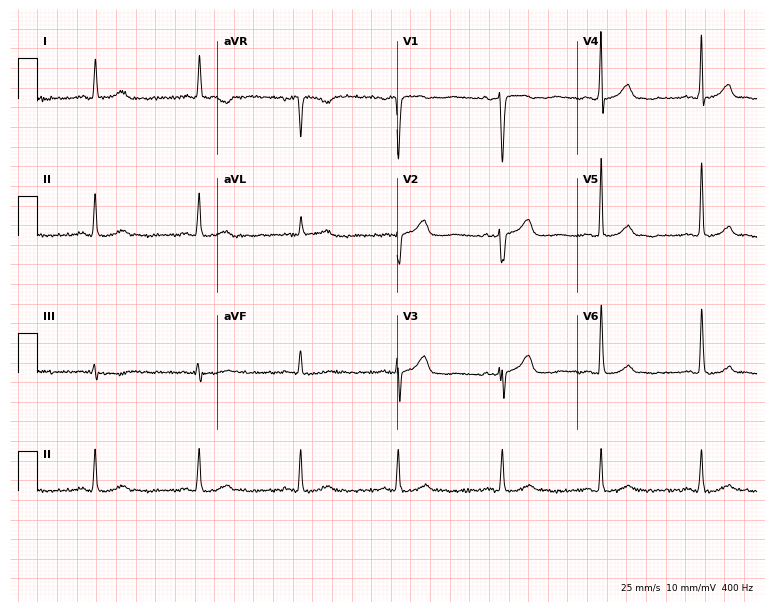
12-lead ECG from a 56-year-old female (7.3-second recording at 400 Hz). No first-degree AV block, right bundle branch block, left bundle branch block, sinus bradycardia, atrial fibrillation or sinus tachycardia recorded for this tracing.